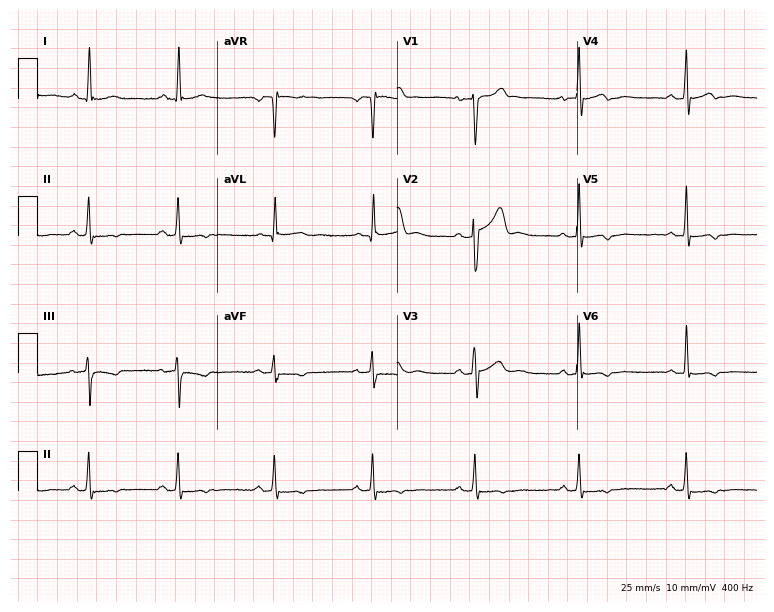
12-lead ECG from a man, 68 years old. Screened for six findings — first-degree AV block, right bundle branch block (RBBB), left bundle branch block (LBBB), sinus bradycardia, atrial fibrillation (AF), sinus tachycardia — none is recorded. Other findings, if any, are not listed.